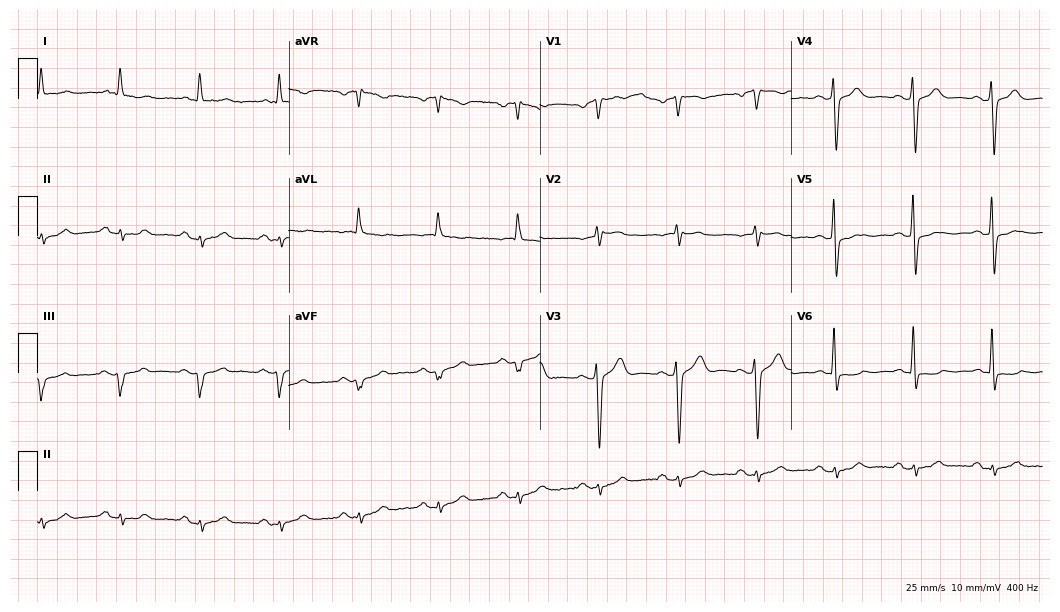
Standard 12-lead ECG recorded from an 84-year-old male patient (10.2-second recording at 400 Hz). None of these six findings is recorded: first-degree AV block, right bundle branch block, left bundle branch block, sinus bradycardia, atrial fibrillation, sinus tachycardia. Only these six findings were labelled.